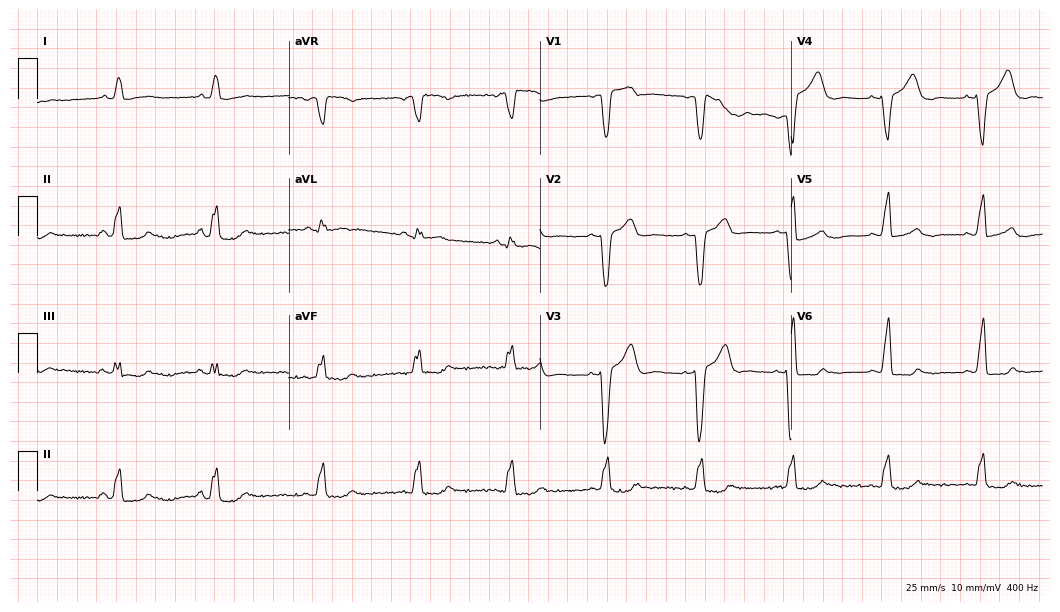
ECG — a woman, 47 years old. Findings include left bundle branch block (LBBB).